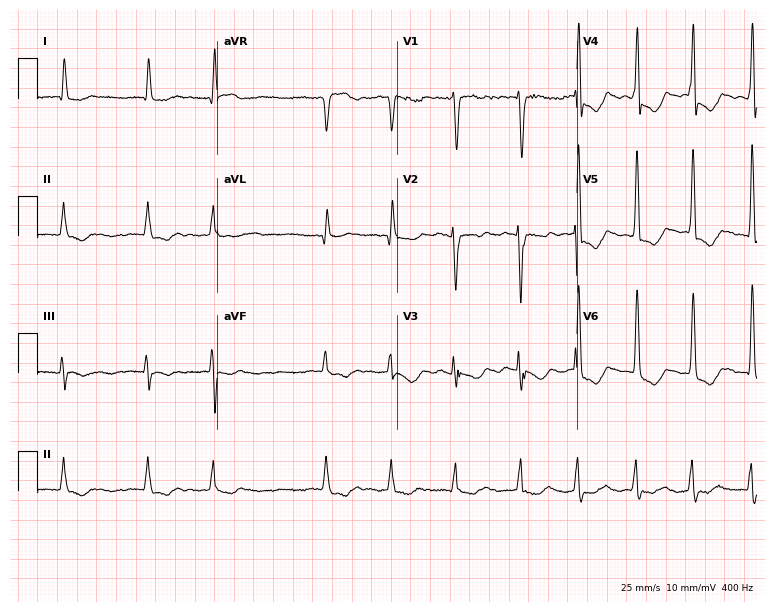
Electrocardiogram, a female patient, 60 years old. Interpretation includes atrial fibrillation (AF).